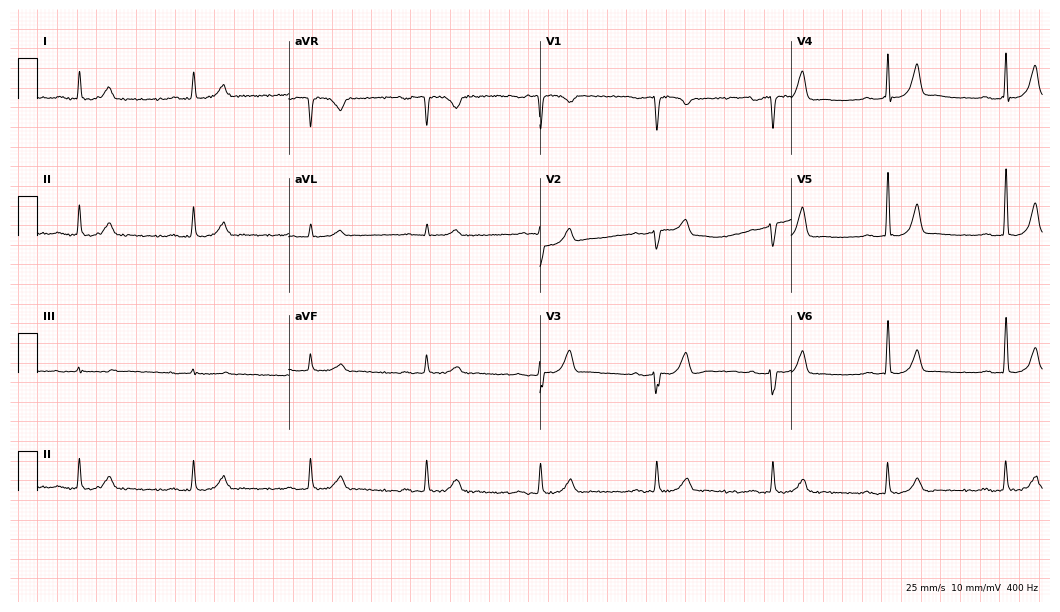
12-lead ECG from a male, 82 years old (10.2-second recording at 400 Hz). Shows first-degree AV block.